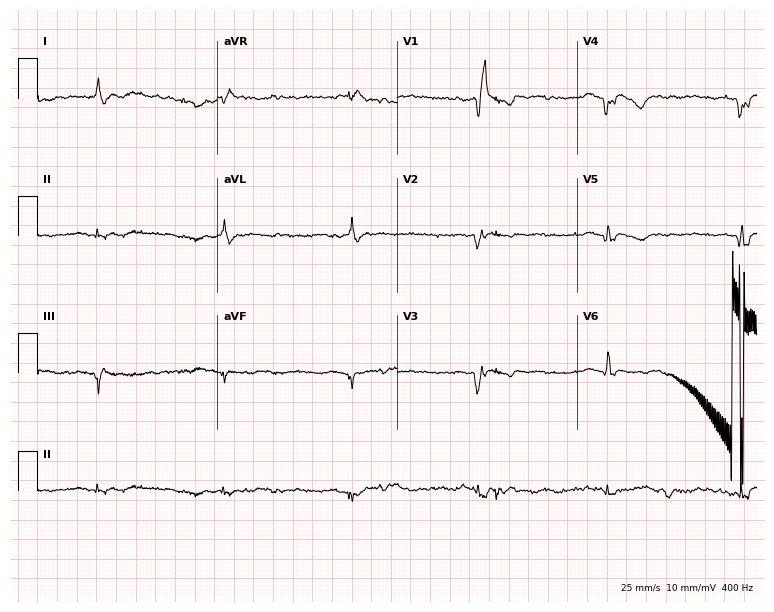
Electrocardiogram (7.3-second recording at 400 Hz), a 73-year-old male. Of the six screened findings (first-degree AV block, right bundle branch block, left bundle branch block, sinus bradycardia, atrial fibrillation, sinus tachycardia), none is recorded. Other findings, if any, are not listed.